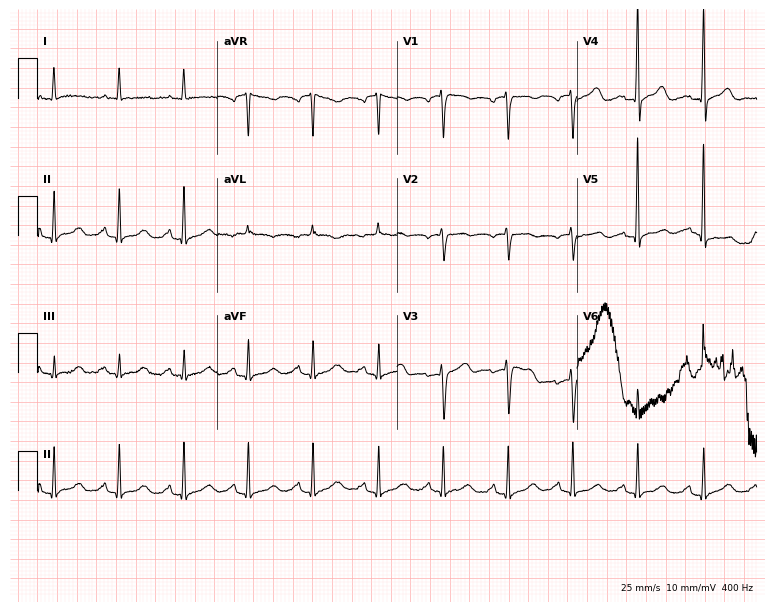
12-lead ECG from an 81-year-old female patient (7.3-second recording at 400 Hz). No first-degree AV block, right bundle branch block (RBBB), left bundle branch block (LBBB), sinus bradycardia, atrial fibrillation (AF) or sinus tachycardia recorded for this tracing.